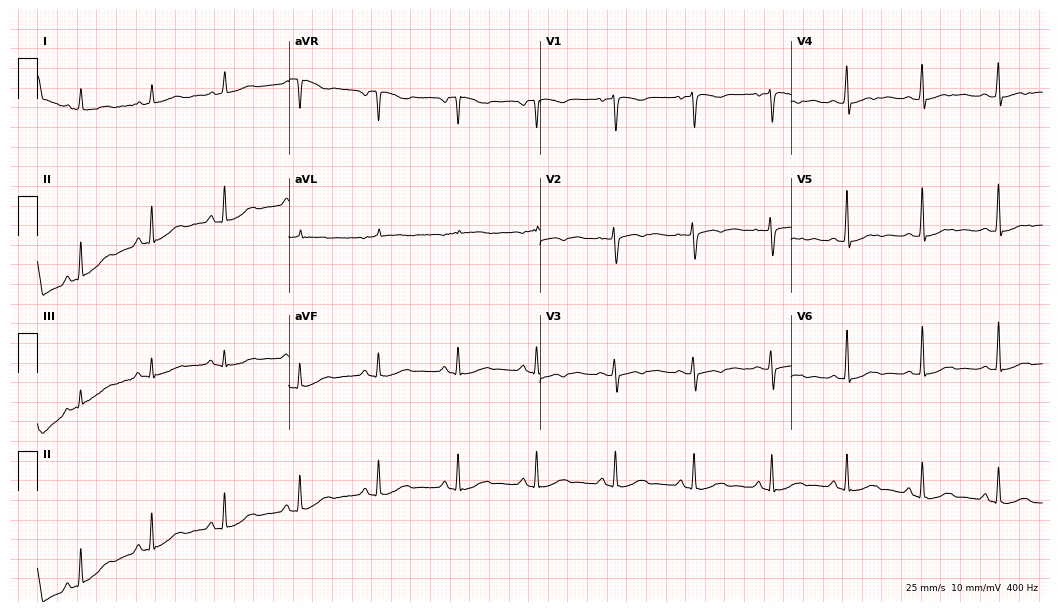
12-lead ECG from a 47-year-old female (10.2-second recording at 400 Hz). No first-degree AV block, right bundle branch block, left bundle branch block, sinus bradycardia, atrial fibrillation or sinus tachycardia recorded for this tracing.